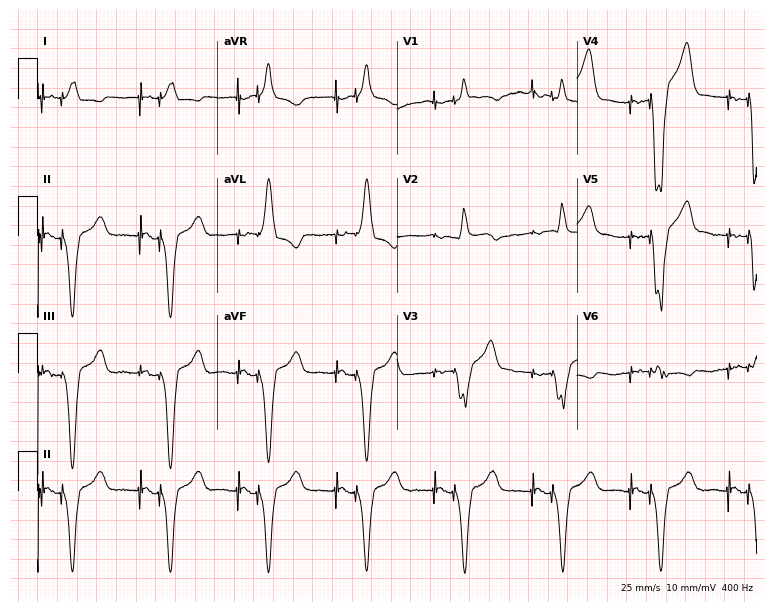
Electrocardiogram, a male, 72 years old. Of the six screened findings (first-degree AV block, right bundle branch block (RBBB), left bundle branch block (LBBB), sinus bradycardia, atrial fibrillation (AF), sinus tachycardia), none is recorded. Other findings, if any, are not listed.